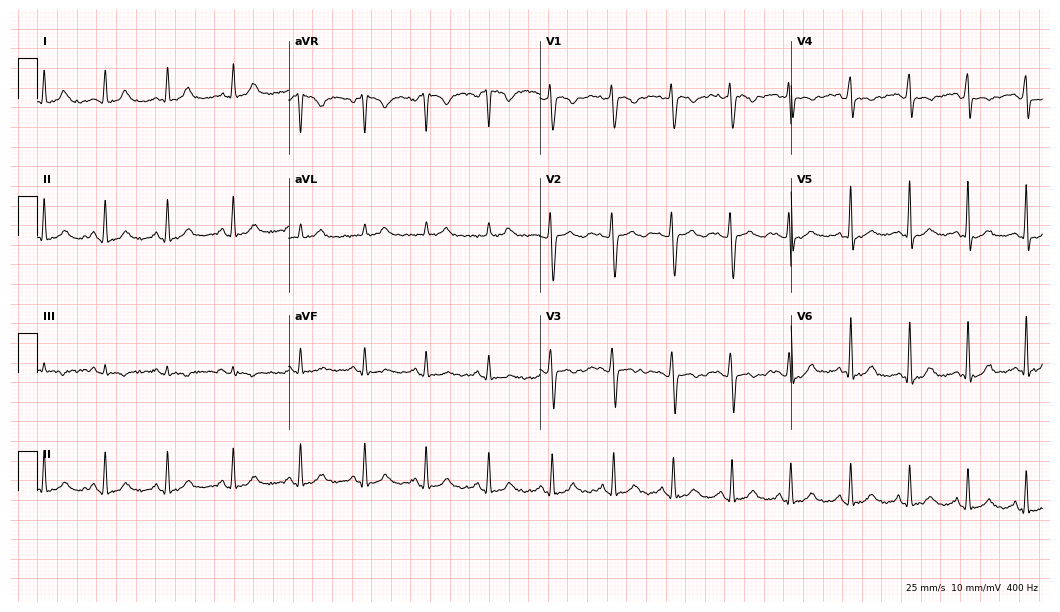
Electrocardiogram (10.2-second recording at 400 Hz), a female patient, 36 years old. Of the six screened findings (first-degree AV block, right bundle branch block, left bundle branch block, sinus bradycardia, atrial fibrillation, sinus tachycardia), none is recorded.